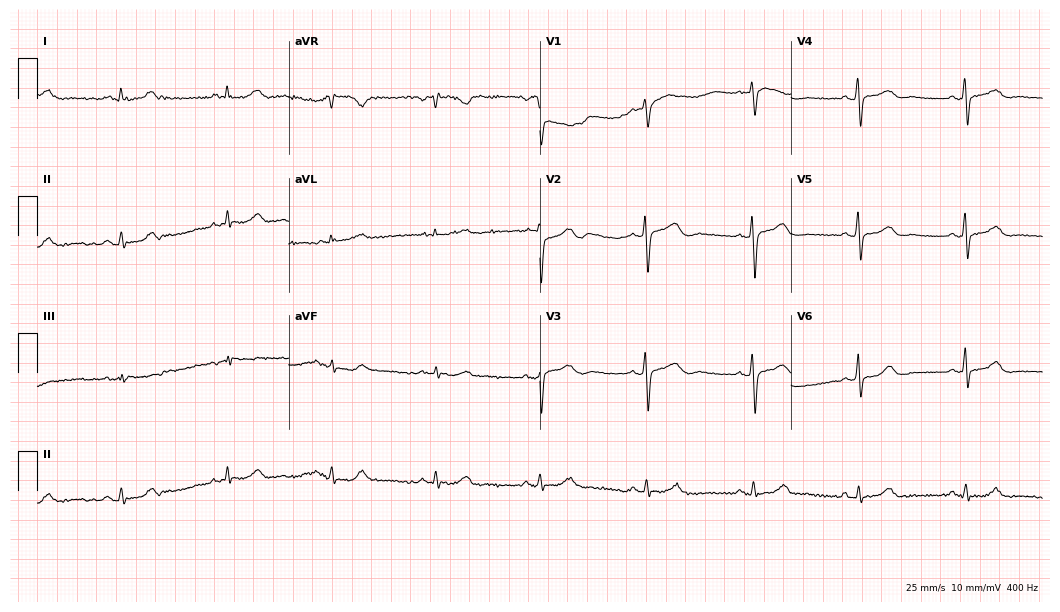
12-lead ECG from a female, 50 years old. Screened for six findings — first-degree AV block, right bundle branch block (RBBB), left bundle branch block (LBBB), sinus bradycardia, atrial fibrillation (AF), sinus tachycardia — none is recorded. Other findings, if any, are not listed.